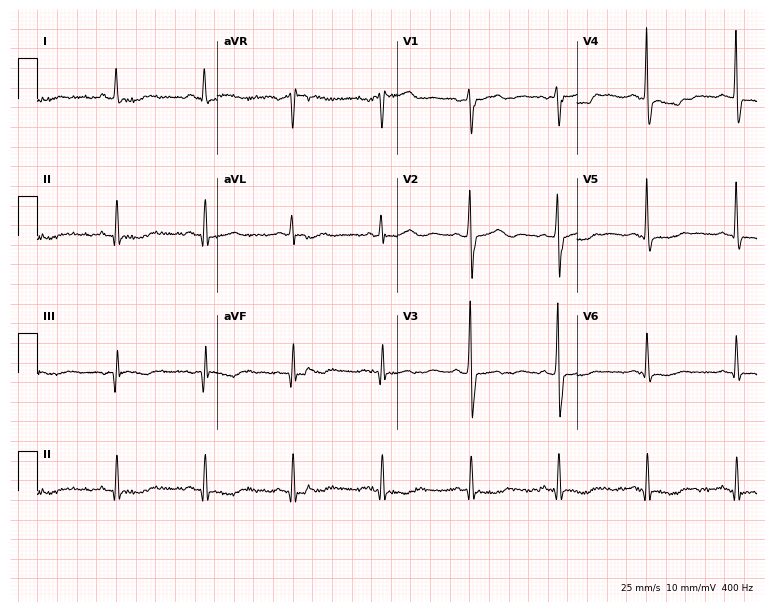
ECG — a 66-year-old female. Screened for six findings — first-degree AV block, right bundle branch block, left bundle branch block, sinus bradycardia, atrial fibrillation, sinus tachycardia — none is recorded. Other findings, if any, are not listed.